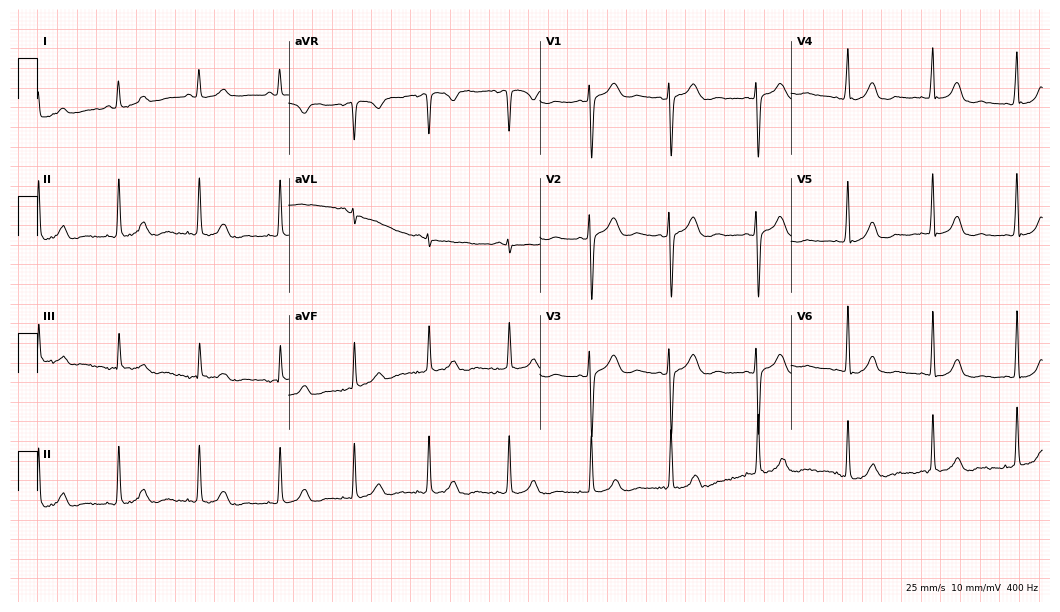
ECG (10.2-second recording at 400 Hz) — a female patient, 33 years old. Labelled as a normal ECG.